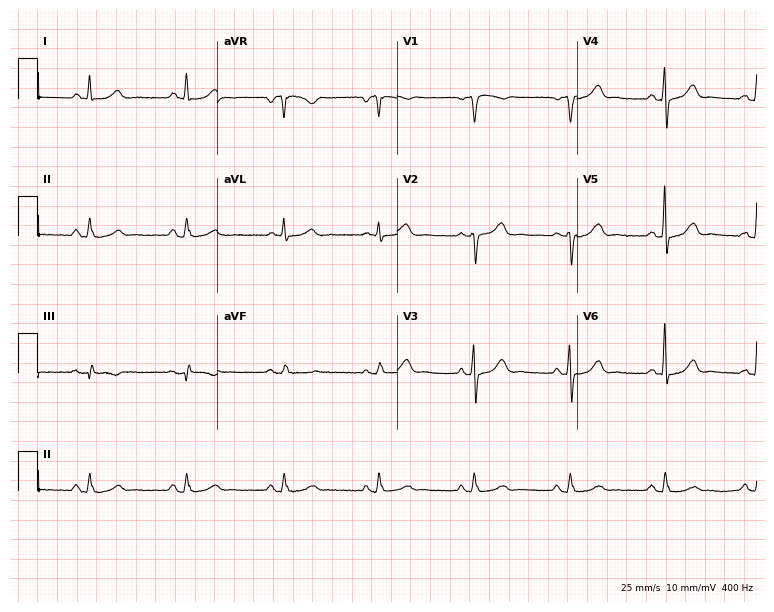
Resting 12-lead electrocardiogram (7.3-second recording at 400 Hz). Patient: a man, 59 years old. Read as a normal ECG.